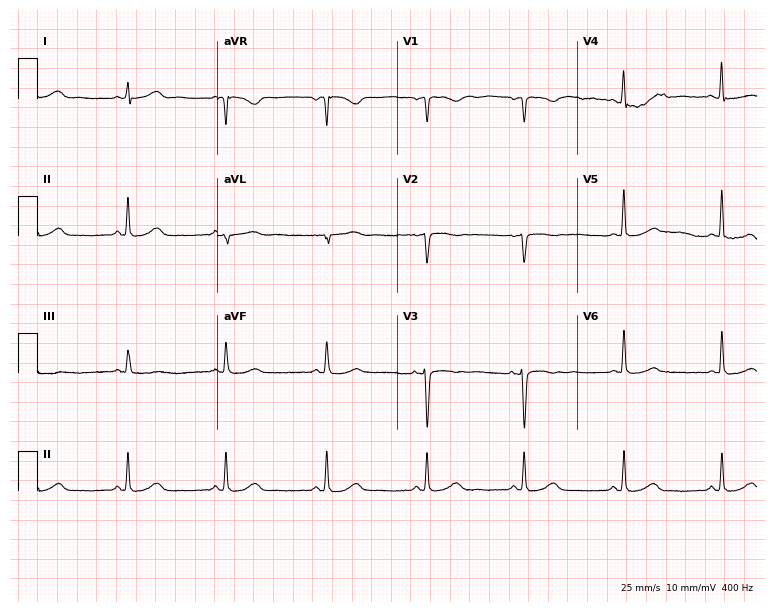
12-lead ECG from a female patient, 58 years old. No first-degree AV block, right bundle branch block, left bundle branch block, sinus bradycardia, atrial fibrillation or sinus tachycardia recorded for this tracing. Findings outside these six are not listed.